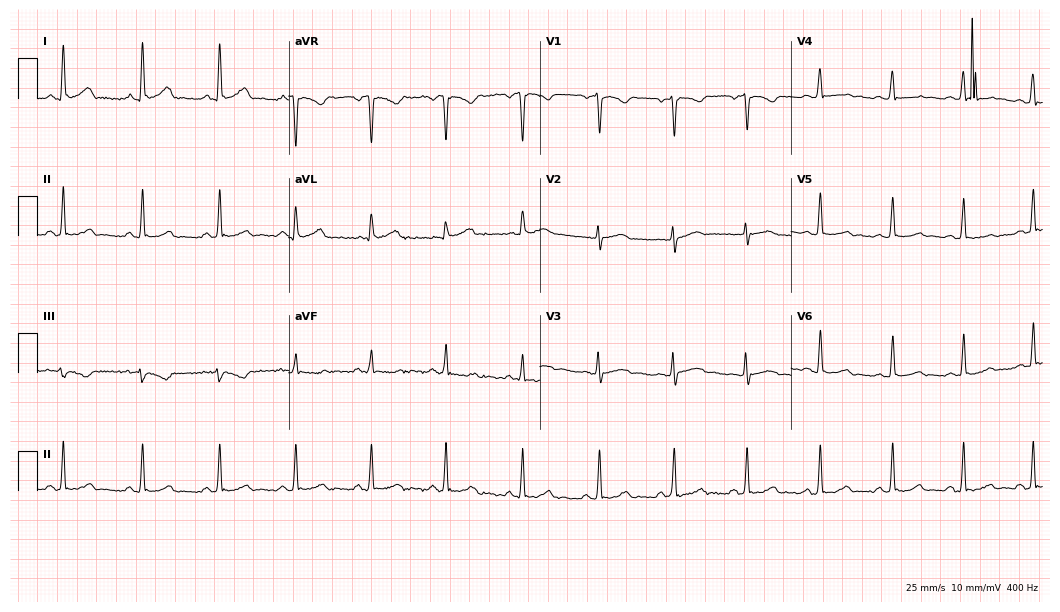
ECG (10.2-second recording at 400 Hz) — a woman, 43 years old. Labelled as a normal ECG.